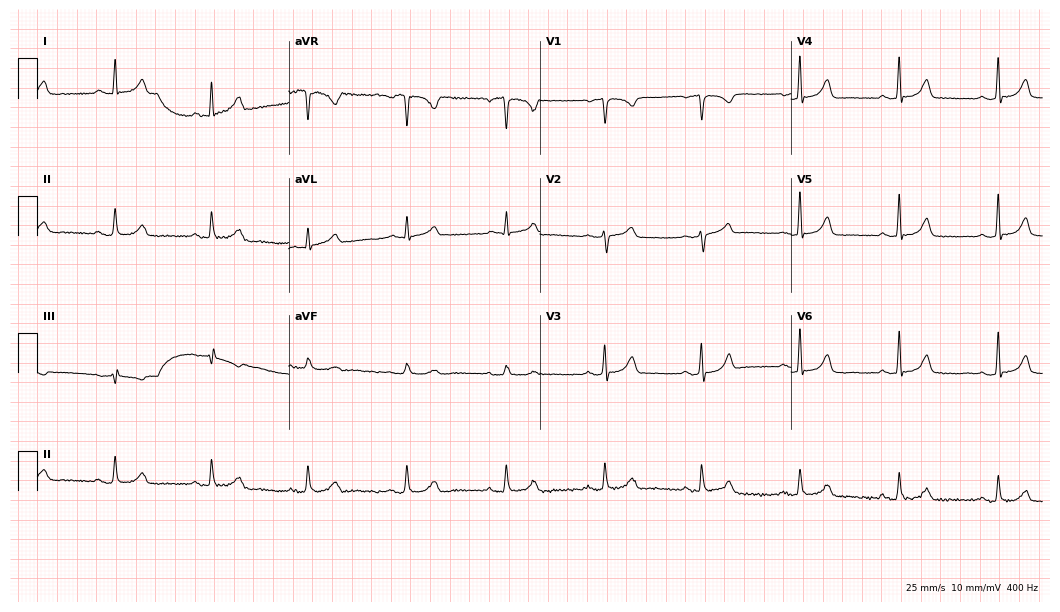
12-lead ECG (10.2-second recording at 400 Hz) from a 49-year-old female patient. Screened for six findings — first-degree AV block, right bundle branch block (RBBB), left bundle branch block (LBBB), sinus bradycardia, atrial fibrillation (AF), sinus tachycardia — none is recorded.